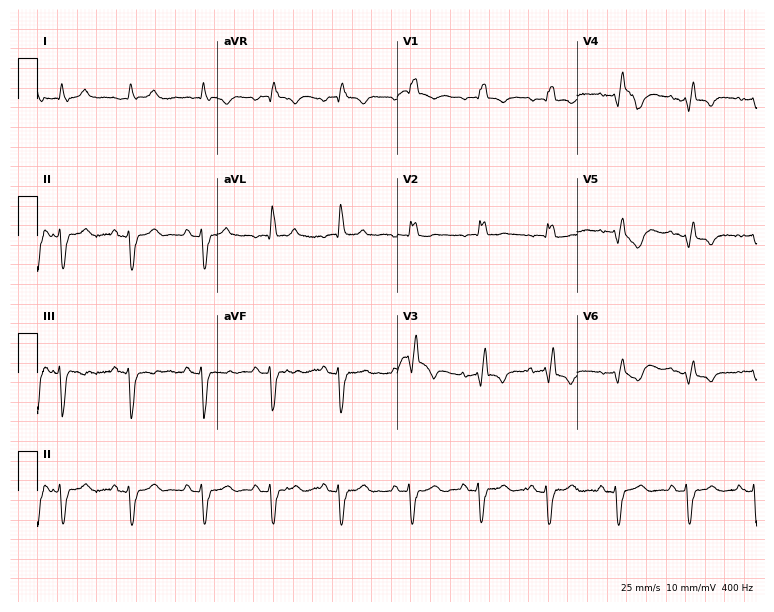
12-lead ECG from a 70-year-old female patient. Screened for six findings — first-degree AV block, right bundle branch block, left bundle branch block, sinus bradycardia, atrial fibrillation, sinus tachycardia — none is recorded.